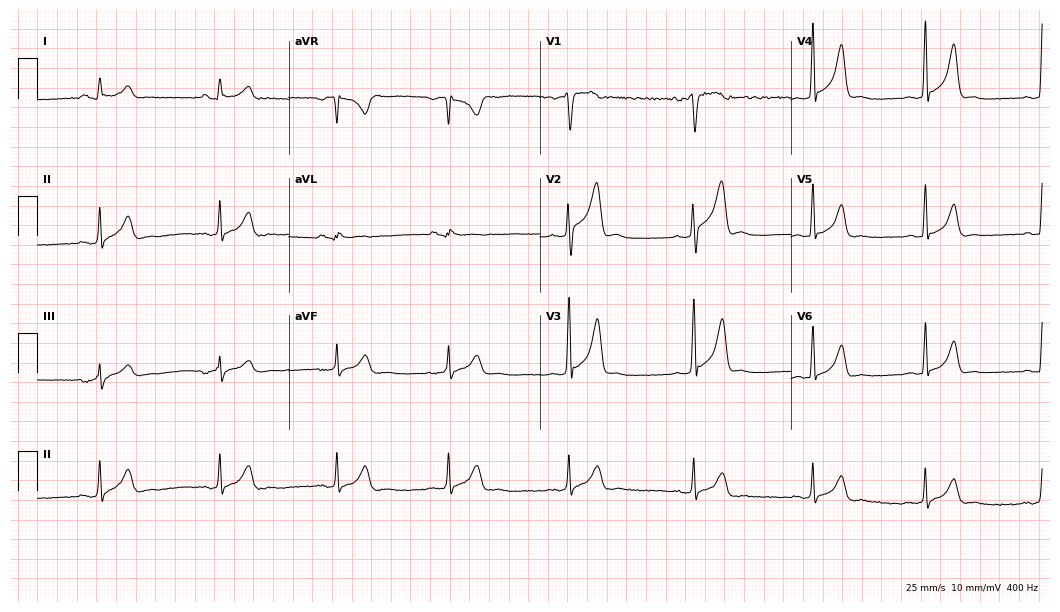
Resting 12-lead electrocardiogram (10.2-second recording at 400 Hz). Patient: a male, 27 years old. Read as a normal ECG.